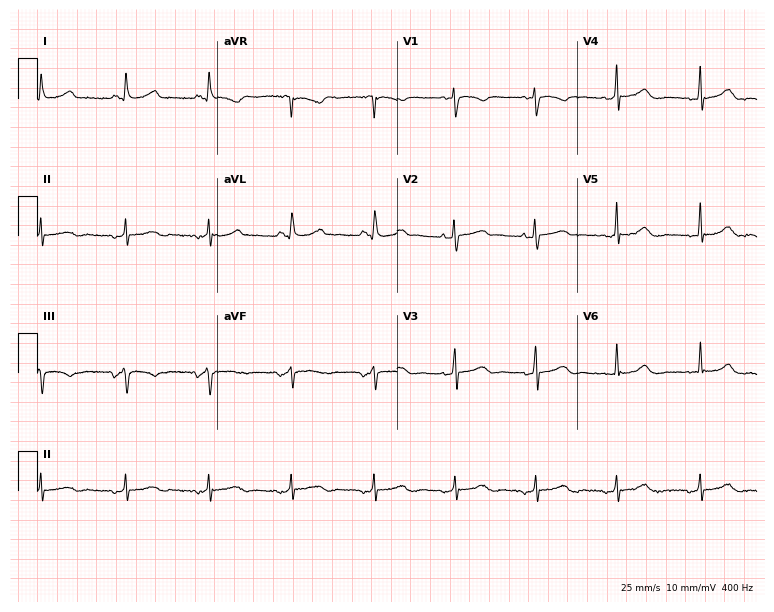
ECG — a 55-year-old woman. Labelled as a normal ECG.